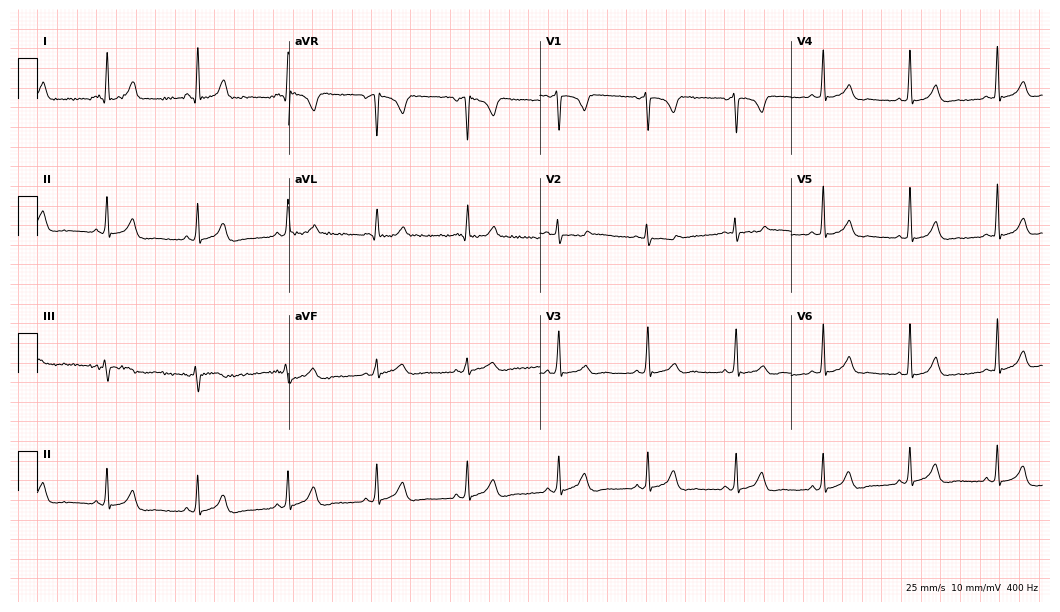
Electrocardiogram, a female, 26 years old. Overall reading on record: normal ECG.